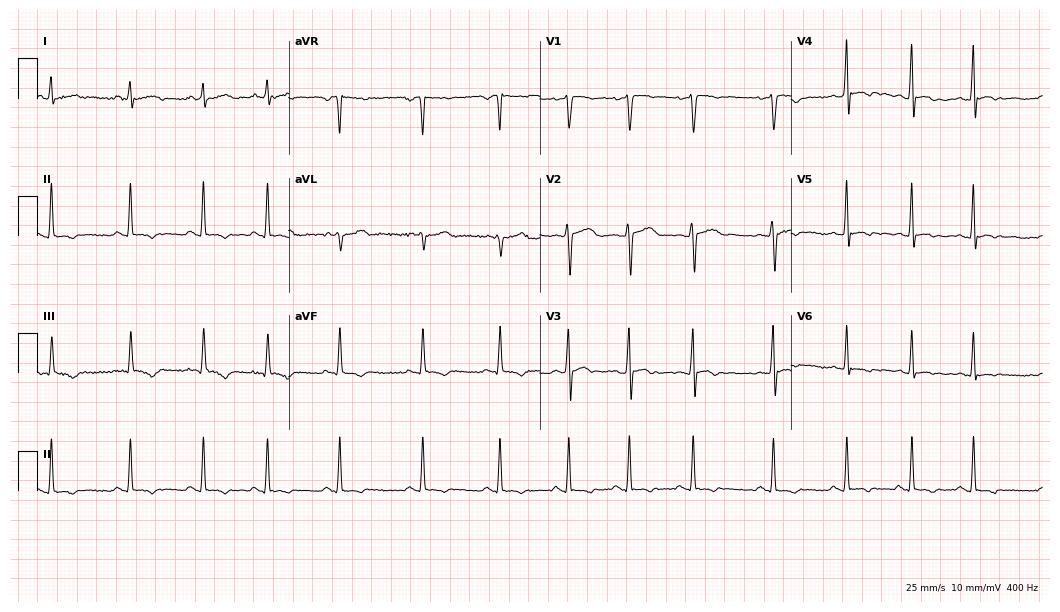
Resting 12-lead electrocardiogram. Patient: a female, 24 years old. None of these six findings is recorded: first-degree AV block, right bundle branch block, left bundle branch block, sinus bradycardia, atrial fibrillation, sinus tachycardia. Other findings, if any, are not listed.